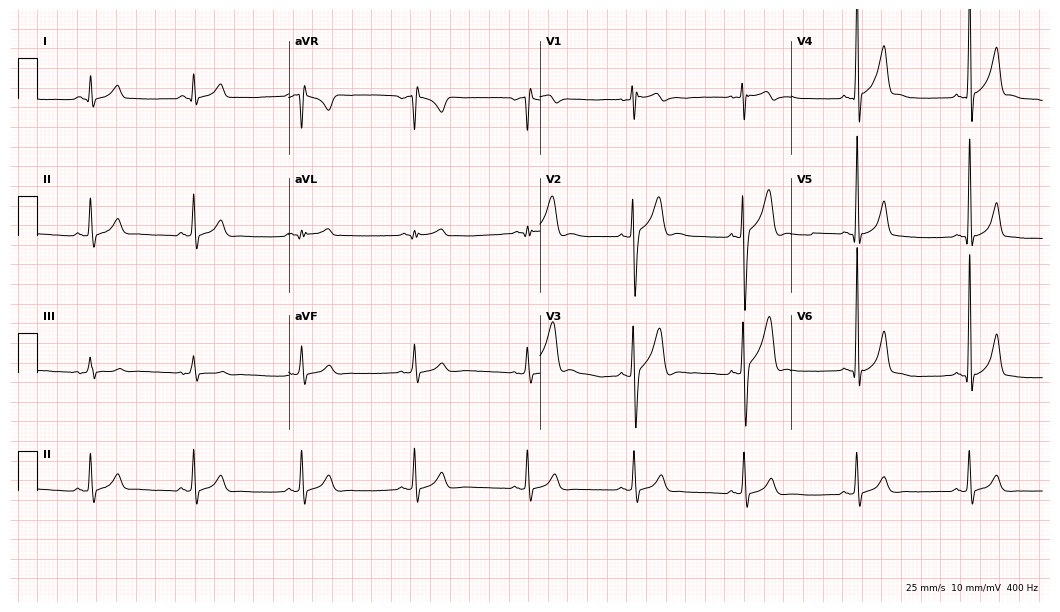
Electrocardiogram, a male patient, 18 years old. Overall reading on record: normal ECG.